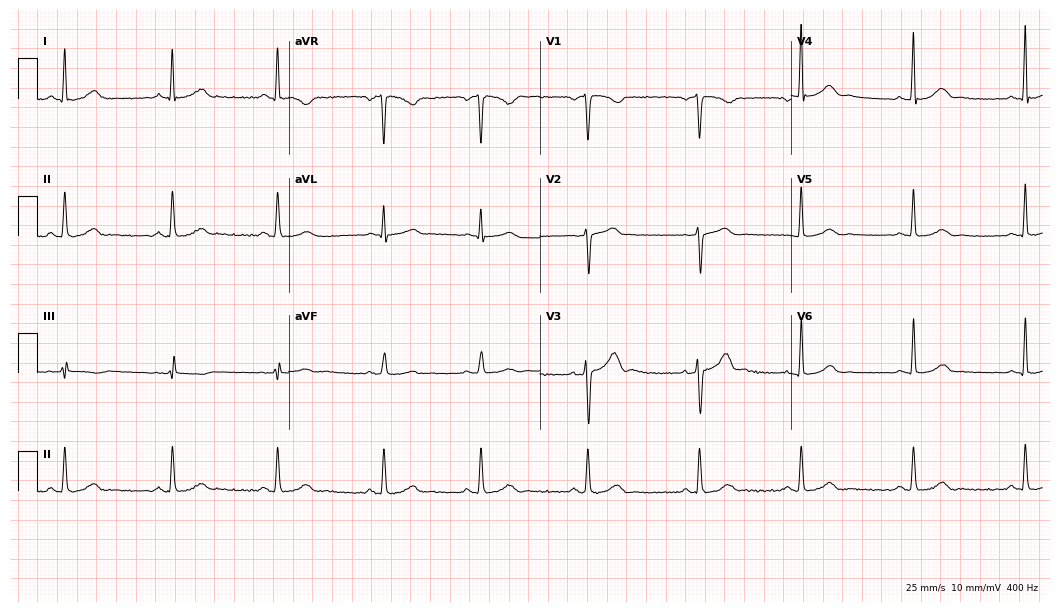
12-lead ECG from a 43-year-old male. No first-degree AV block, right bundle branch block (RBBB), left bundle branch block (LBBB), sinus bradycardia, atrial fibrillation (AF) or sinus tachycardia recorded for this tracing. Only these six findings were labelled.